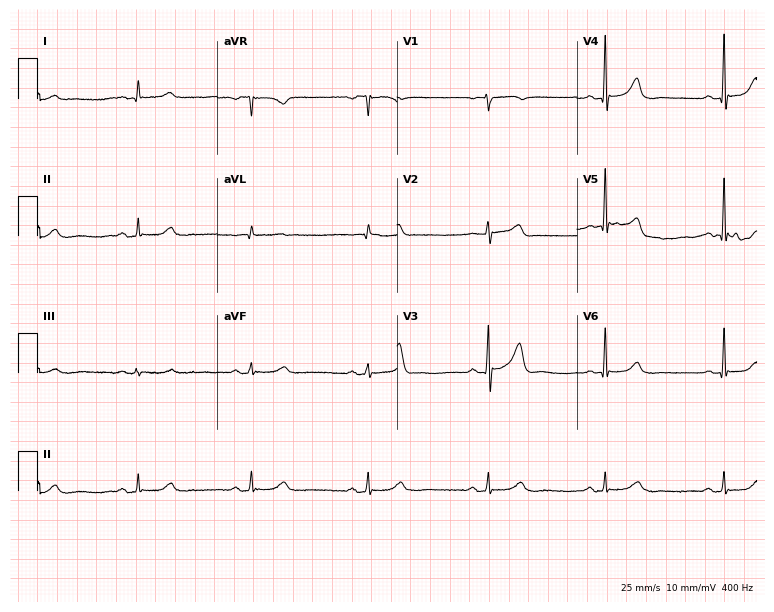
Standard 12-lead ECG recorded from a male patient, 78 years old. None of these six findings is recorded: first-degree AV block, right bundle branch block, left bundle branch block, sinus bradycardia, atrial fibrillation, sinus tachycardia.